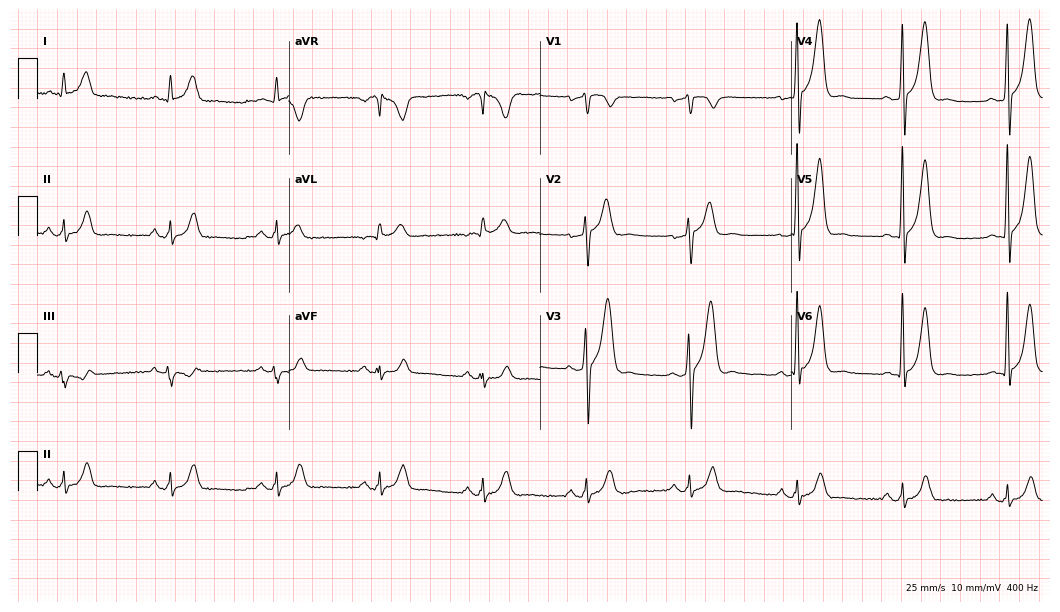
ECG (10.2-second recording at 400 Hz) — a 63-year-old male. Screened for six findings — first-degree AV block, right bundle branch block, left bundle branch block, sinus bradycardia, atrial fibrillation, sinus tachycardia — none is recorded. Other findings, if any, are not listed.